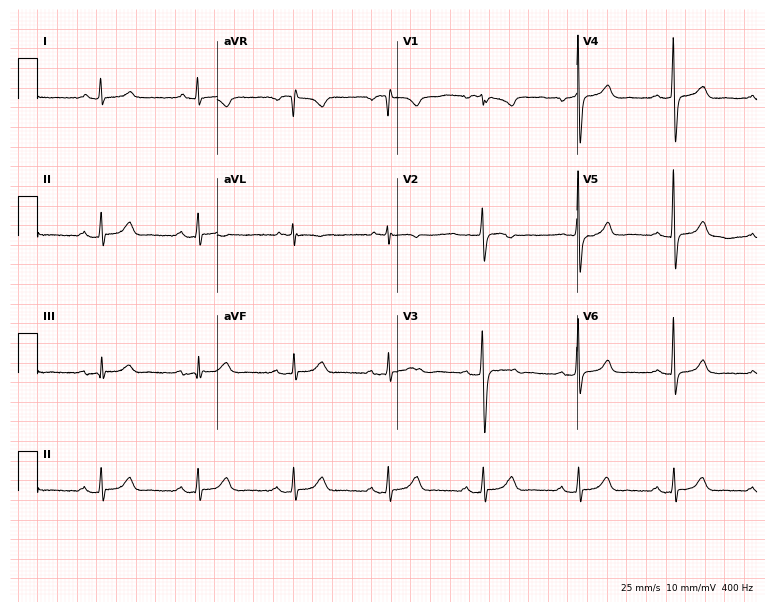
12-lead ECG from a man, 83 years old (7.3-second recording at 400 Hz). No first-degree AV block, right bundle branch block, left bundle branch block, sinus bradycardia, atrial fibrillation or sinus tachycardia recorded for this tracing. Findings outside these six are not listed.